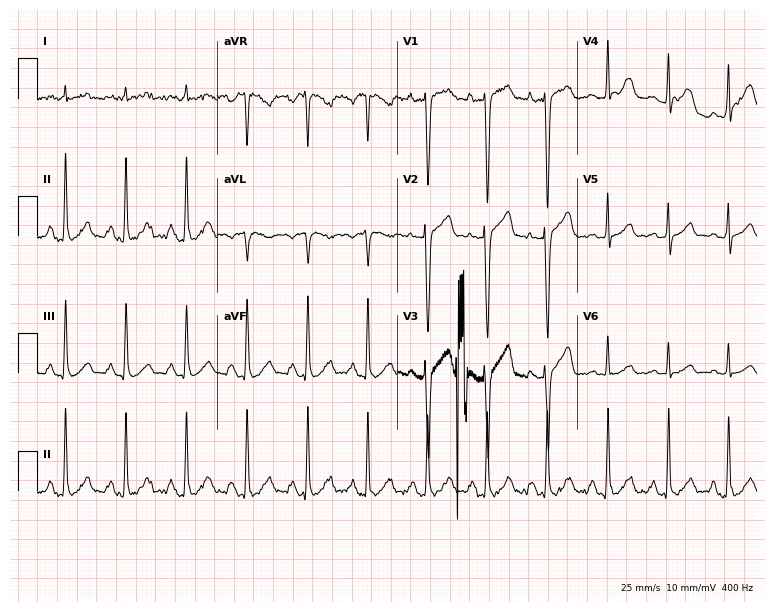
ECG (7.3-second recording at 400 Hz) — a man, 45 years old. Labelled as a normal ECG.